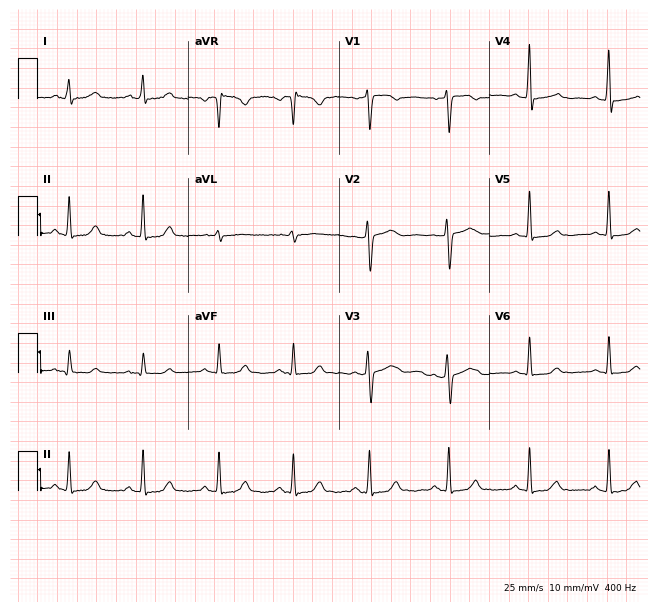
Standard 12-lead ECG recorded from a 52-year-old female (6.1-second recording at 400 Hz). Read as a normal ECG.